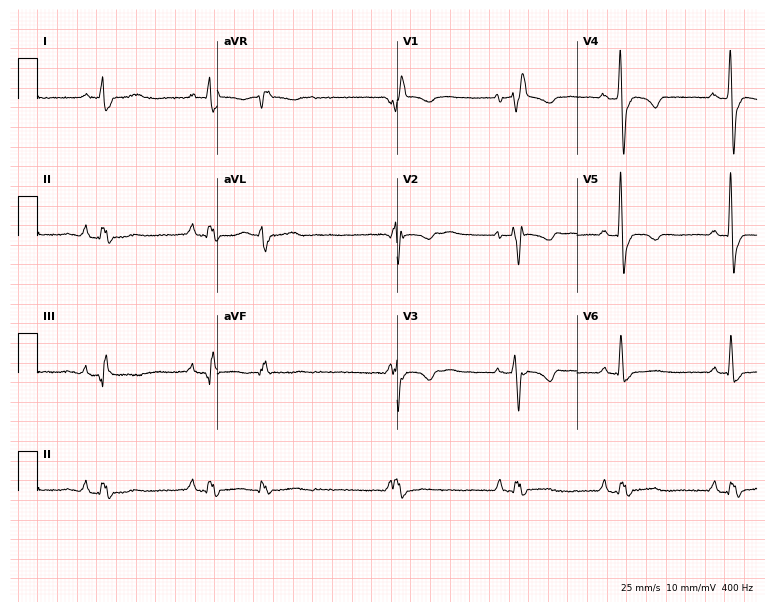
12-lead ECG from a female patient, 73 years old. Shows right bundle branch block.